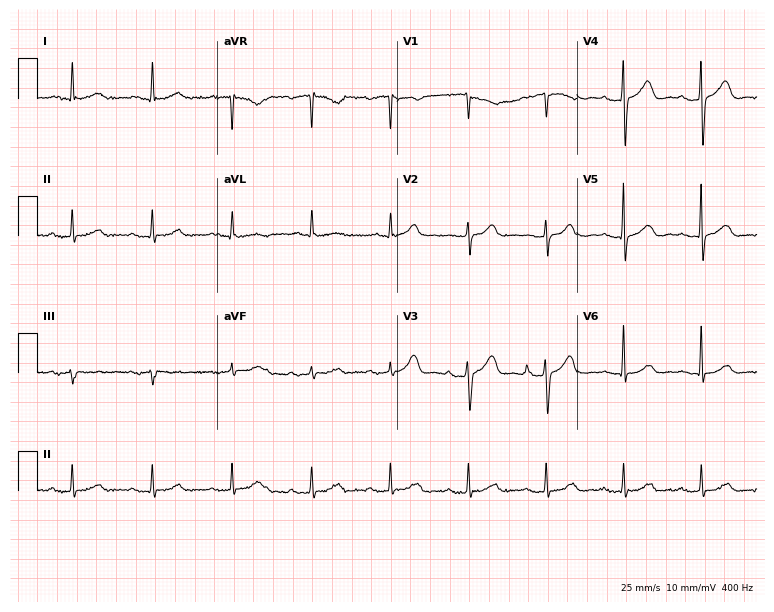
12-lead ECG (7.3-second recording at 400 Hz) from a female, 75 years old. Findings include first-degree AV block.